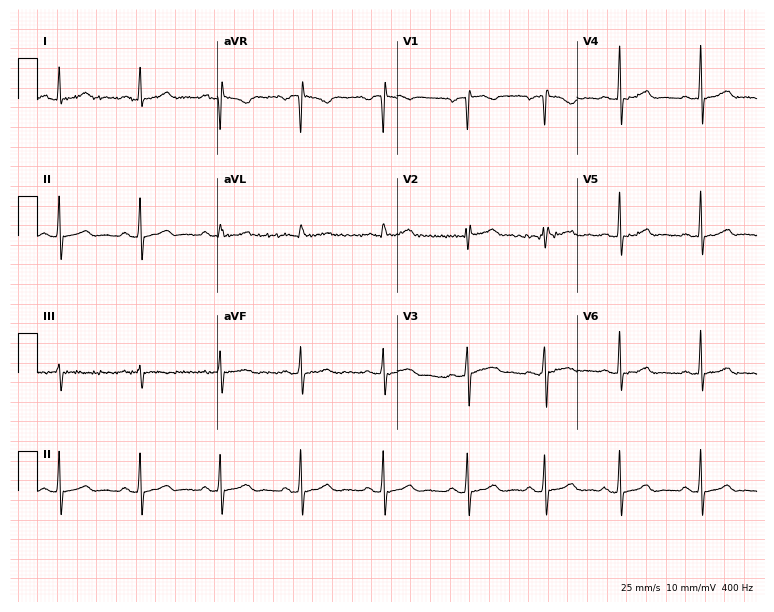
12-lead ECG from a 37-year-old female patient. Screened for six findings — first-degree AV block, right bundle branch block, left bundle branch block, sinus bradycardia, atrial fibrillation, sinus tachycardia — none is recorded.